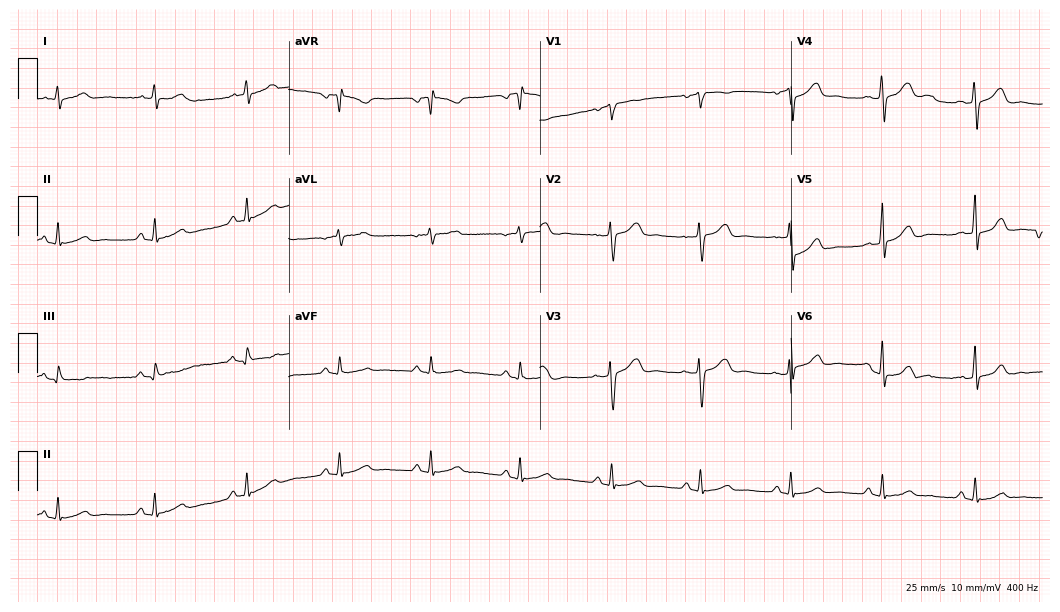
Standard 12-lead ECG recorded from a 38-year-old female (10.2-second recording at 400 Hz). Read as a normal ECG.